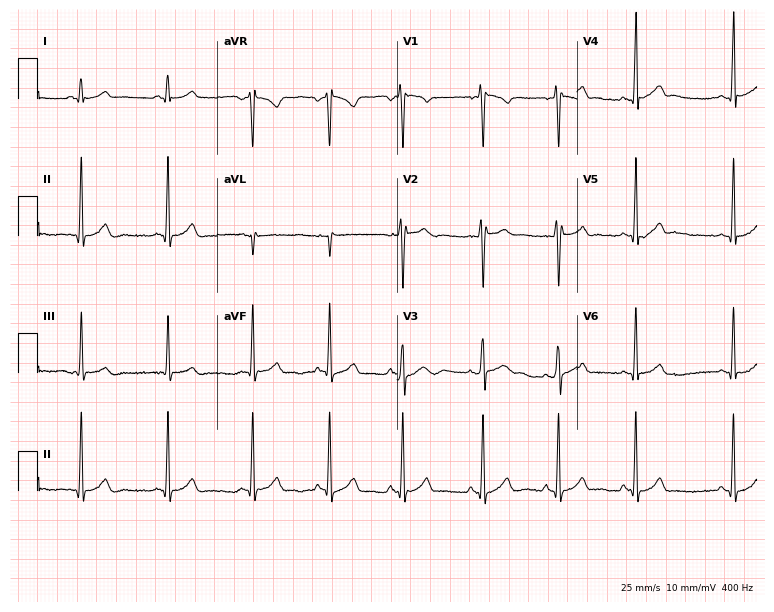
Electrocardiogram, a man, 19 years old. Of the six screened findings (first-degree AV block, right bundle branch block, left bundle branch block, sinus bradycardia, atrial fibrillation, sinus tachycardia), none is recorded. Findings outside these six are not listed.